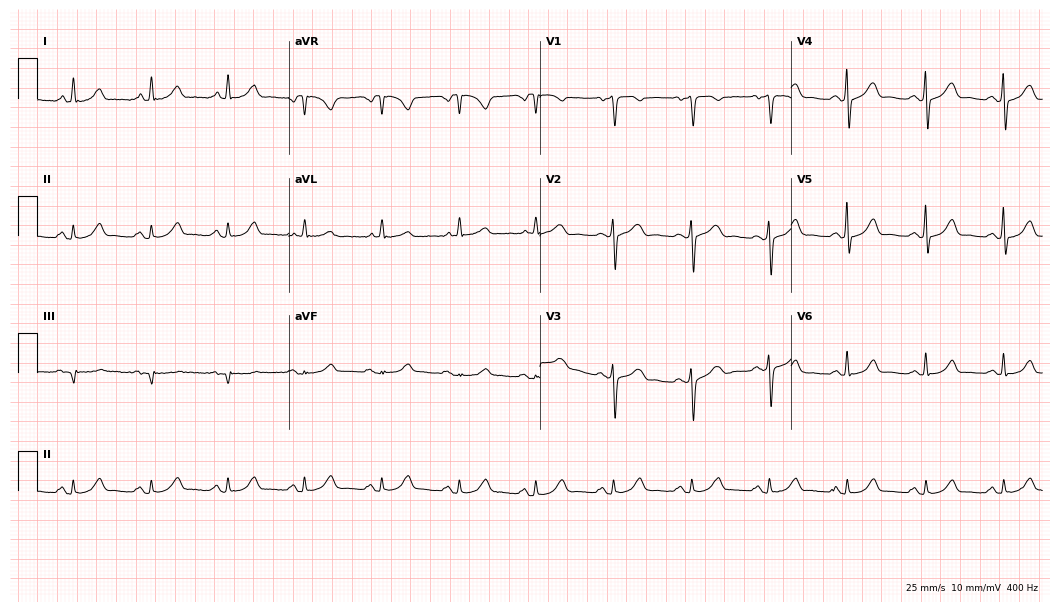
Resting 12-lead electrocardiogram (10.2-second recording at 400 Hz). Patient: a 74-year-old woman. Read as a normal ECG.